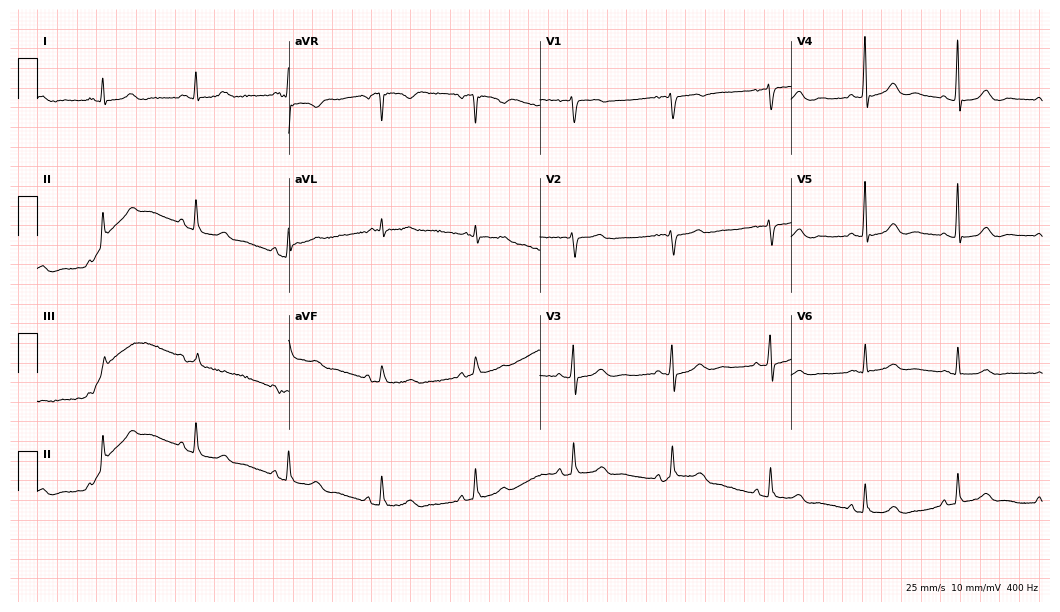
12-lead ECG from a 63-year-old female (10.2-second recording at 400 Hz). Recorded interpretation: within normal limits.